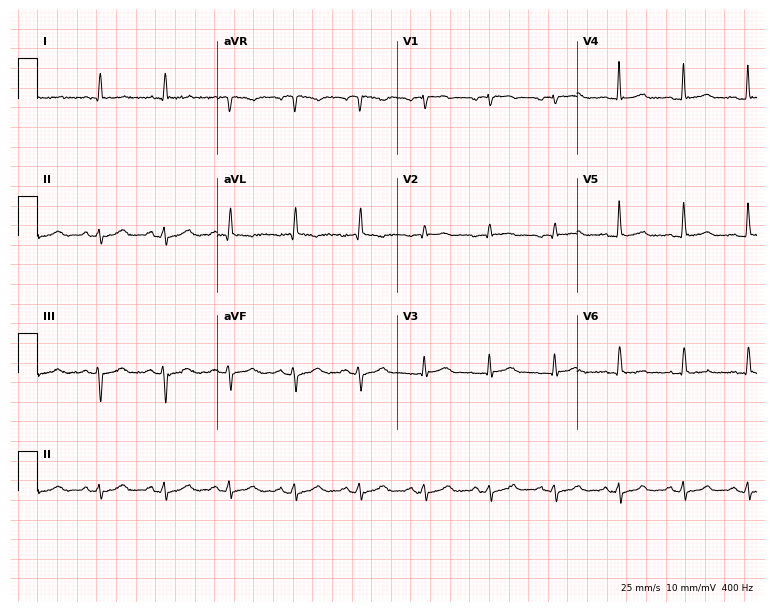
ECG — a male patient, 68 years old. Screened for six findings — first-degree AV block, right bundle branch block, left bundle branch block, sinus bradycardia, atrial fibrillation, sinus tachycardia — none is recorded.